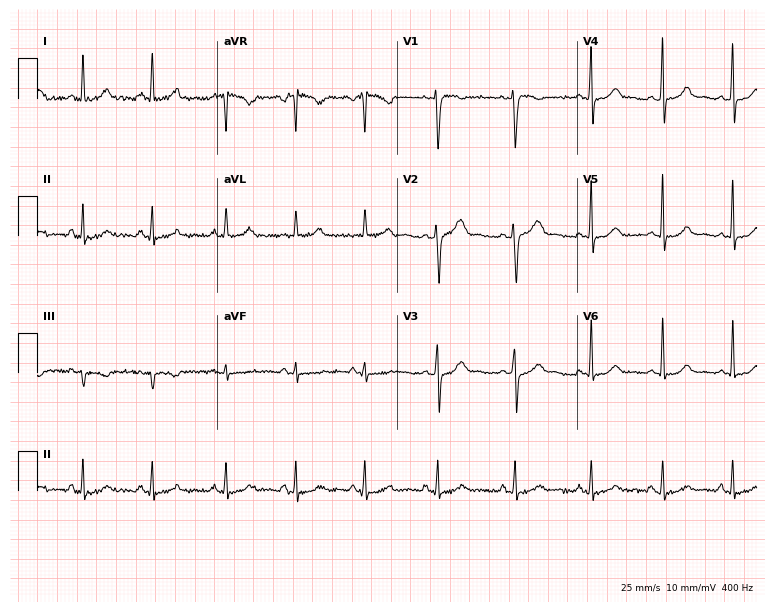
ECG (7.3-second recording at 400 Hz) — a 59-year-old woman. Labelled as a normal ECG.